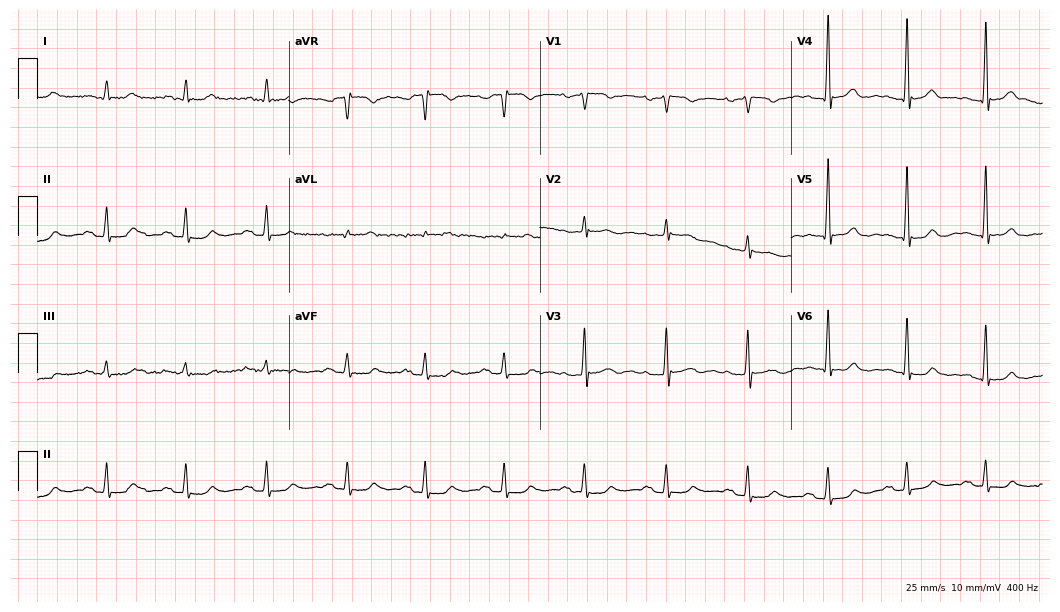
Electrocardiogram, a male patient, 54 years old. Of the six screened findings (first-degree AV block, right bundle branch block (RBBB), left bundle branch block (LBBB), sinus bradycardia, atrial fibrillation (AF), sinus tachycardia), none is recorded.